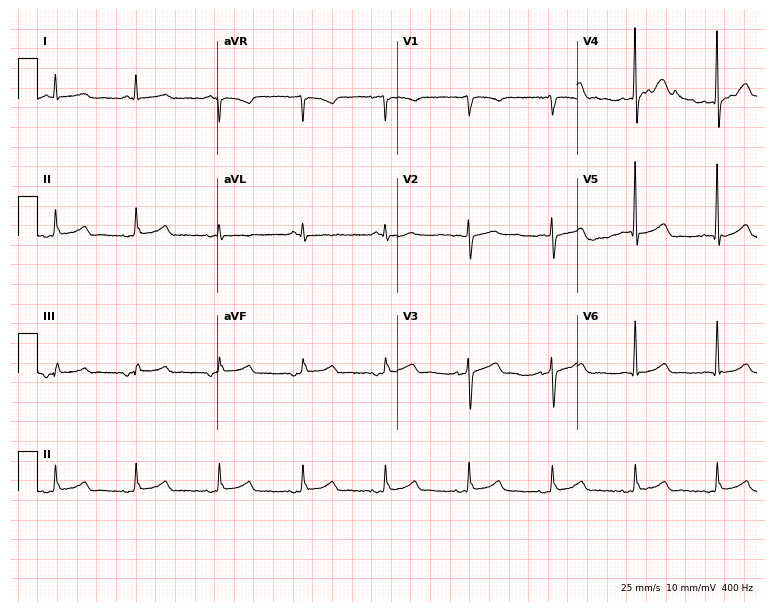
Resting 12-lead electrocardiogram (7.3-second recording at 400 Hz). Patient: a male, 73 years old. None of these six findings is recorded: first-degree AV block, right bundle branch block (RBBB), left bundle branch block (LBBB), sinus bradycardia, atrial fibrillation (AF), sinus tachycardia. Findings outside these six are not listed.